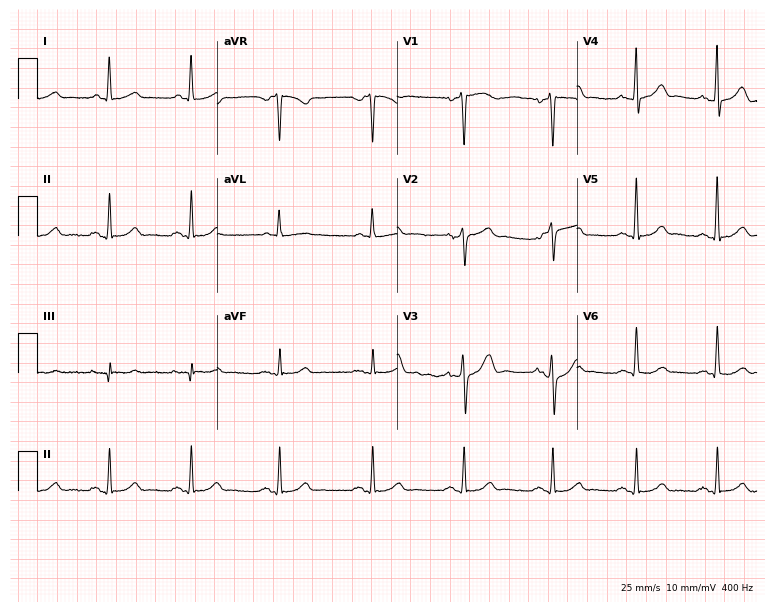
12-lead ECG from a 35-year-old man (7.3-second recording at 400 Hz). No first-degree AV block, right bundle branch block, left bundle branch block, sinus bradycardia, atrial fibrillation or sinus tachycardia recorded for this tracing.